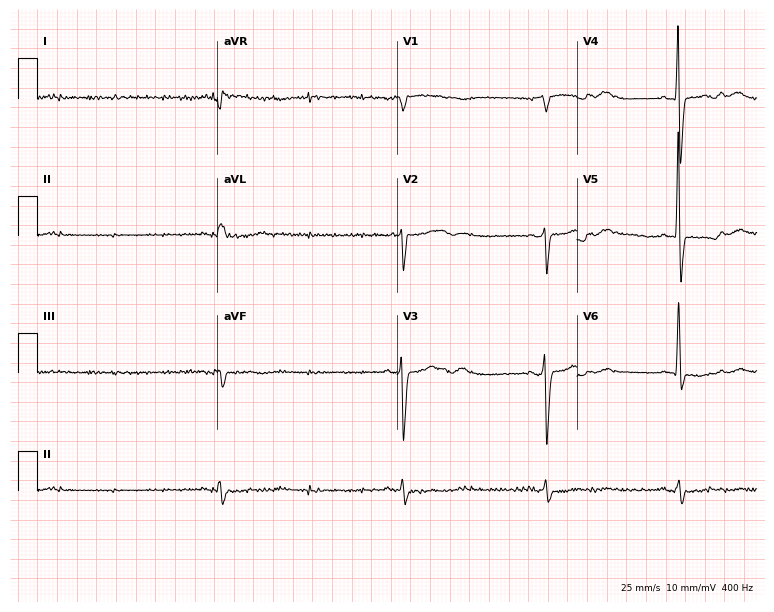
12-lead ECG from a man, 86 years old. No first-degree AV block, right bundle branch block, left bundle branch block, sinus bradycardia, atrial fibrillation or sinus tachycardia recorded for this tracing. Only these six findings were labelled.